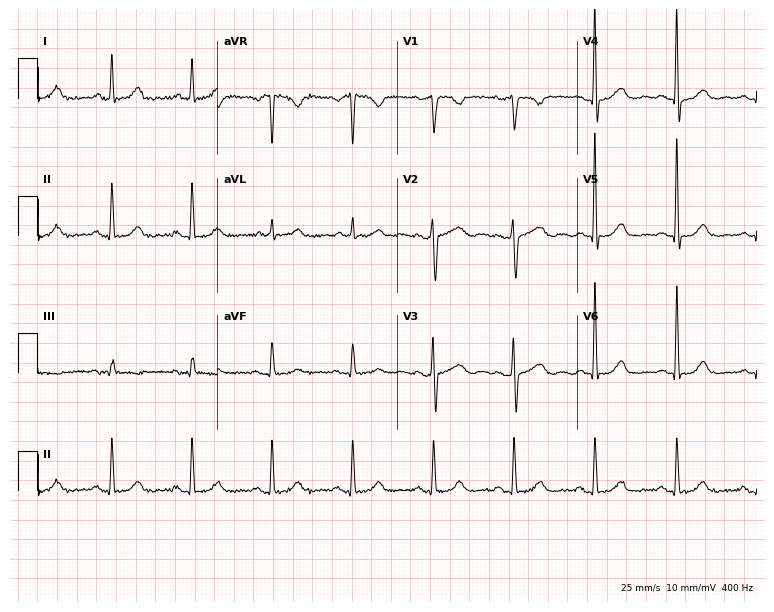
Electrocardiogram (7.3-second recording at 400 Hz), a 56-year-old female. Overall reading on record: normal ECG.